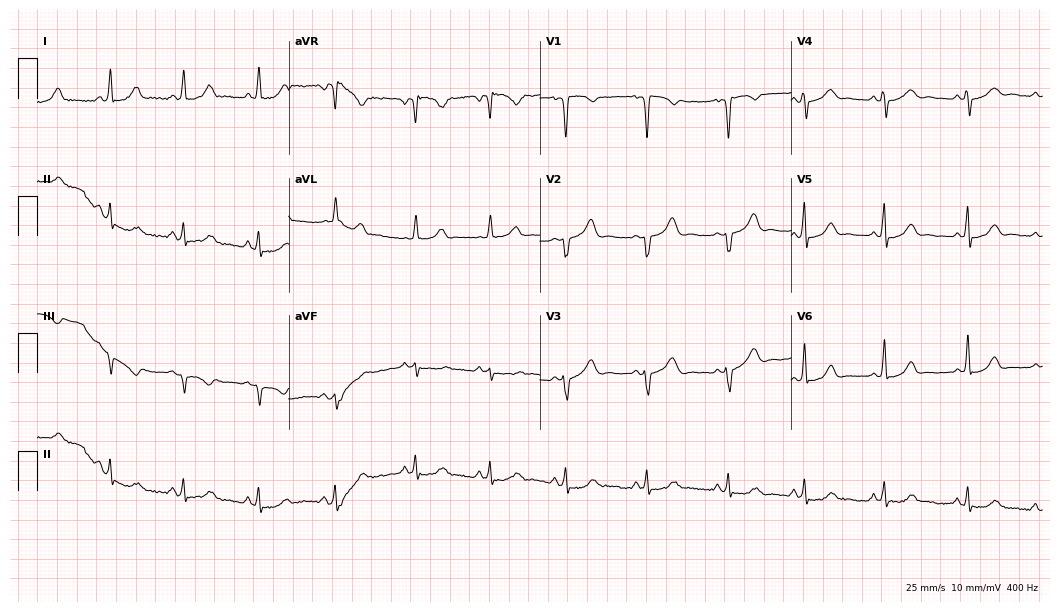
Electrocardiogram, a 39-year-old female. Of the six screened findings (first-degree AV block, right bundle branch block, left bundle branch block, sinus bradycardia, atrial fibrillation, sinus tachycardia), none is recorded.